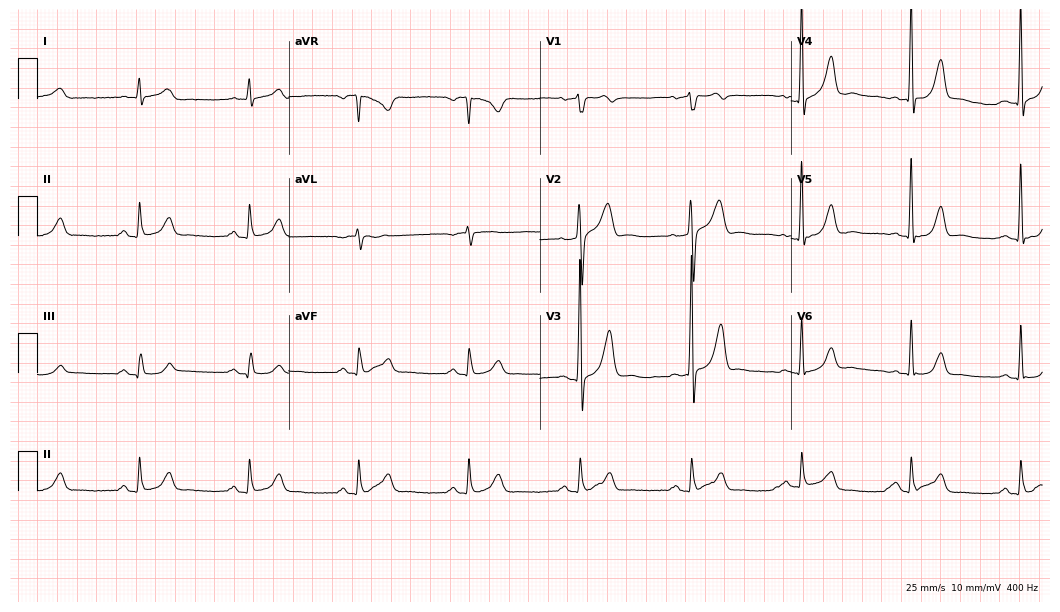
12-lead ECG from a man, 77 years old. Recorded interpretation: within normal limits.